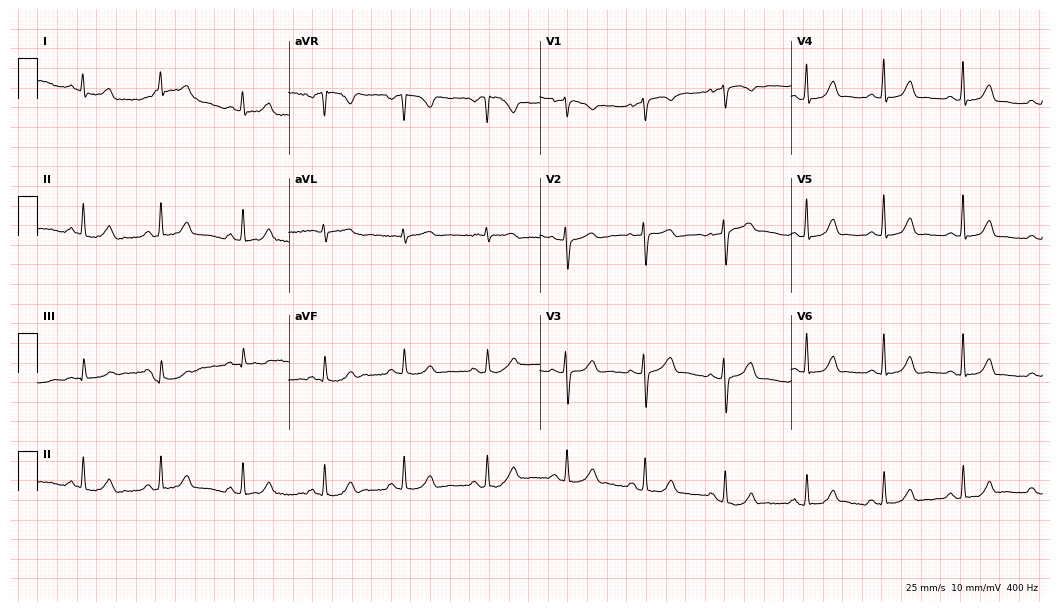
12-lead ECG from a 41-year-old female. Labelled as a normal ECG.